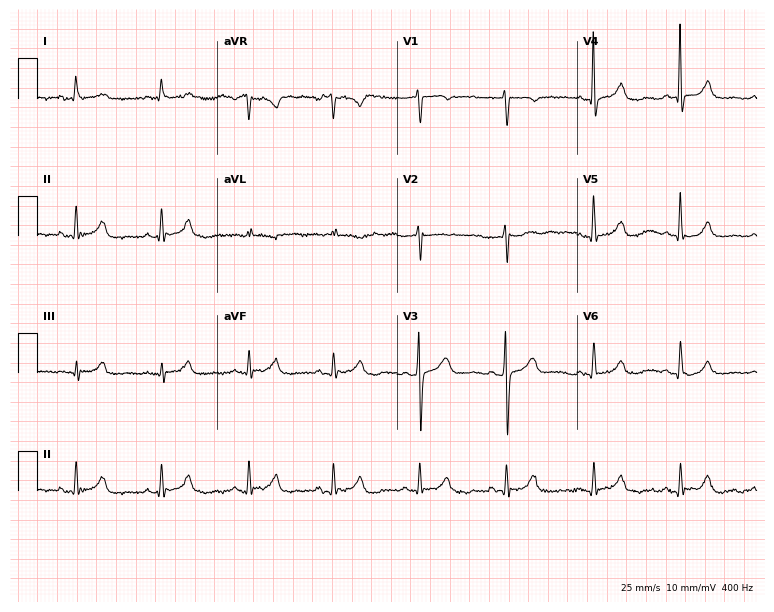
12-lead ECG from a female patient, 84 years old. Screened for six findings — first-degree AV block, right bundle branch block, left bundle branch block, sinus bradycardia, atrial fibrillation, sinus tachycardia — none is recorded.